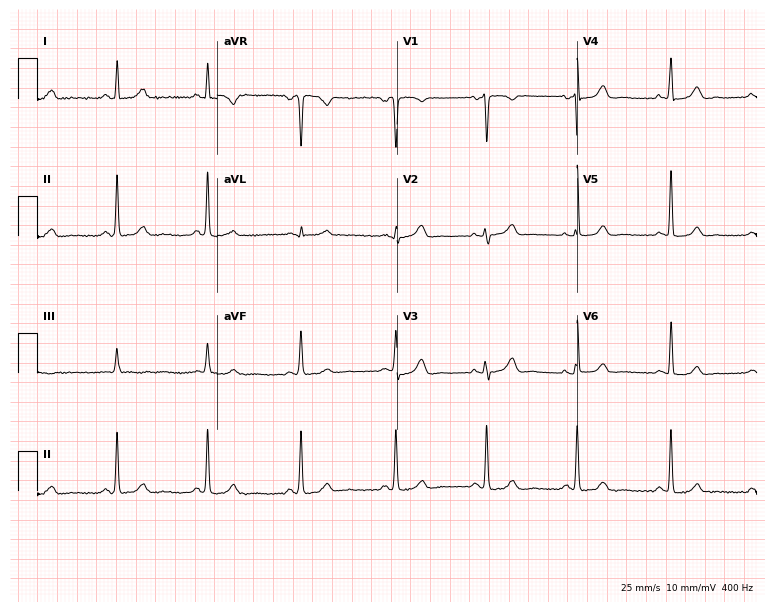
Electrocardiogram, a woman, 53 years old. Of the six screened findings (first-degree AV block, right bundle branch block, left bundle branch block, sinus bradycardia, atrial fibrillation, sinus tachycardia), none is recorded. Findings outside these six are not listed.